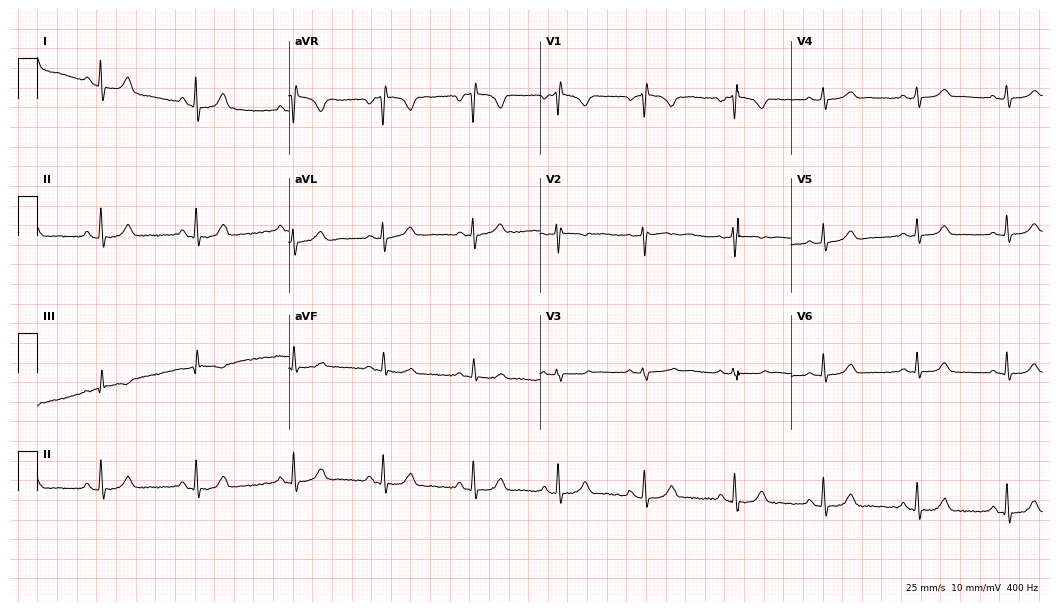
ECG — a woman, 28 years old. Screened for six findings — first-degree AV block, right bundle branch block, left bundle branch block, sinus bradycardia, atrial fibrillation, sinus tachycardia — none is recorded.